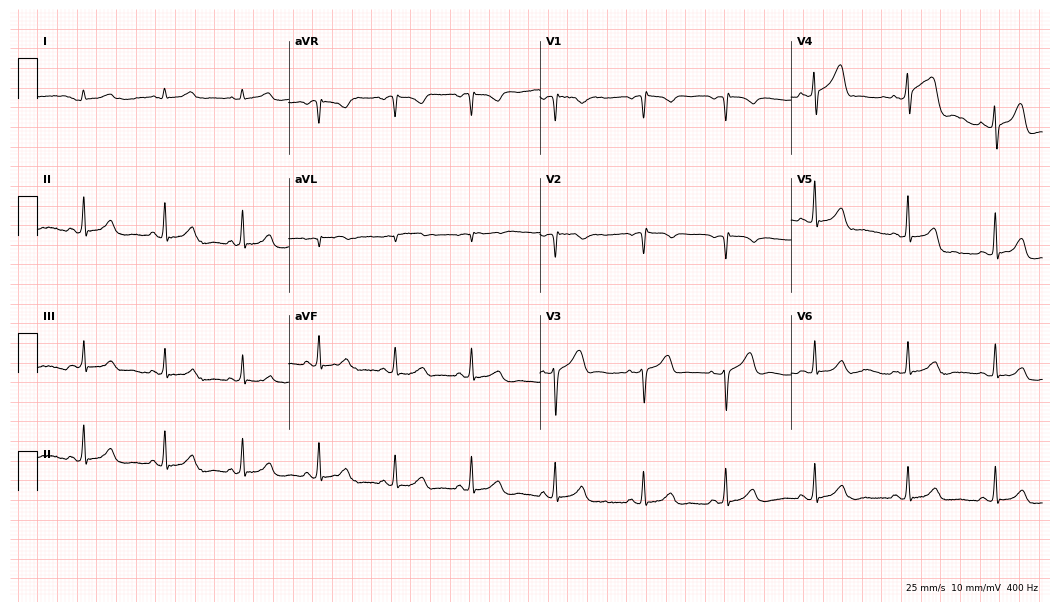
Resting 12-lead electrocardiogram (10.2-second recording at 400 Hz). Patient: a man, 38 years old. None of these six findings is recorded: first-degree AV block, right bundle branch block (RBBB), left bundle branch block (LBBB), sinus bradycardia, atrial fibrillation (AF), sinus tachycardia.